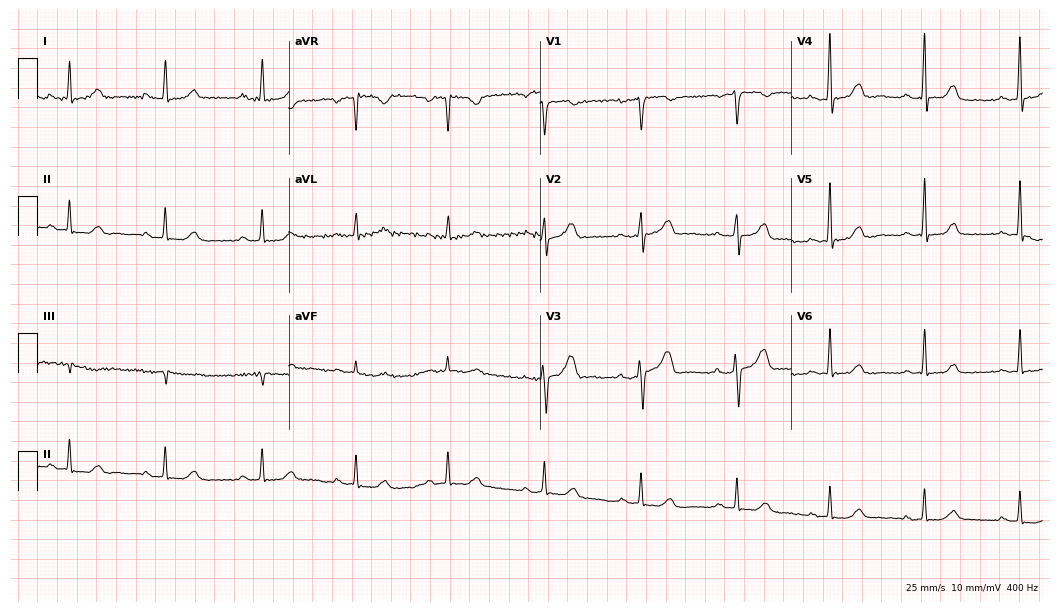
Electrocardiogram (10.2-second recording at 400 Hz), a female, 69 years old. Of the six screened findings (first-degree AV block, right bundle branch block, left bundle branch block, sinus bradycardia, atrial fibrillation, sinus tachycardia), none is recorded. Other findings, if any, are not listed.